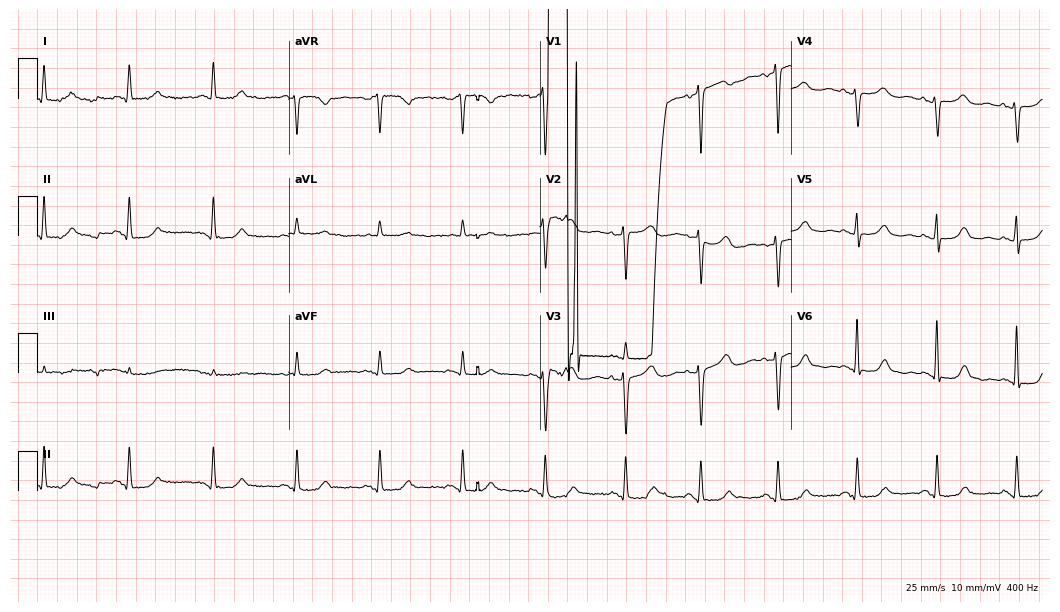
Standard 12-lead ECG recorded from a female patient, 71 years old. None of these six findings is recorded: first-degree AV block, right bundle branch block, left bundle branch block, sinus bradycardia, atrial fibrillation, sinus tachycardia. Only these six findings were labelled.